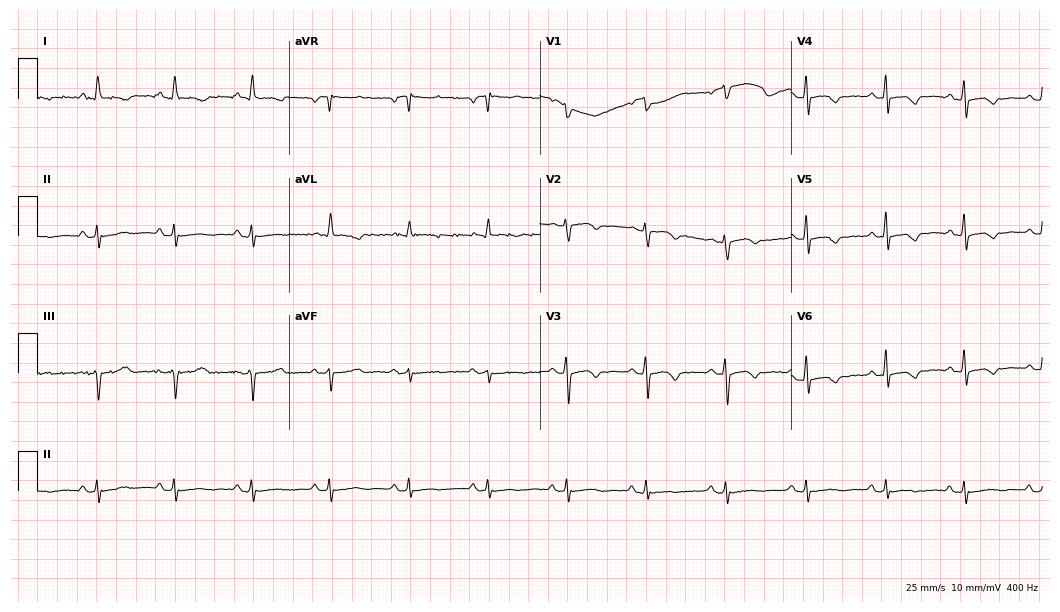
12-lead ECG from a 58-year-old female patient (10.2-second recording at 400 Hz). No first-degree AV block, right bundle branch block (RBBB), left bundle branch block (LBBB), sinus bradycardia, atrial fibrillation (AF) or sinus tachycardia recorded for this tracing.